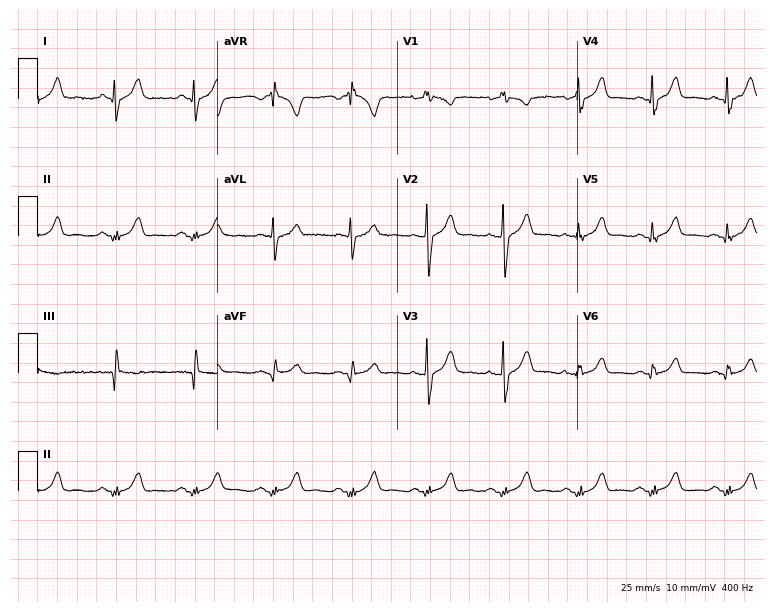
Standard 12-lead ECG recorded from a male, 47 years old (7.3-second recording at 400 Hz). None of these six findings is recorded: first-degree AV block, right bundle branch block, left bundle branch block, sinus bradycardia, atrial fibrillation, sinus tachycardia.